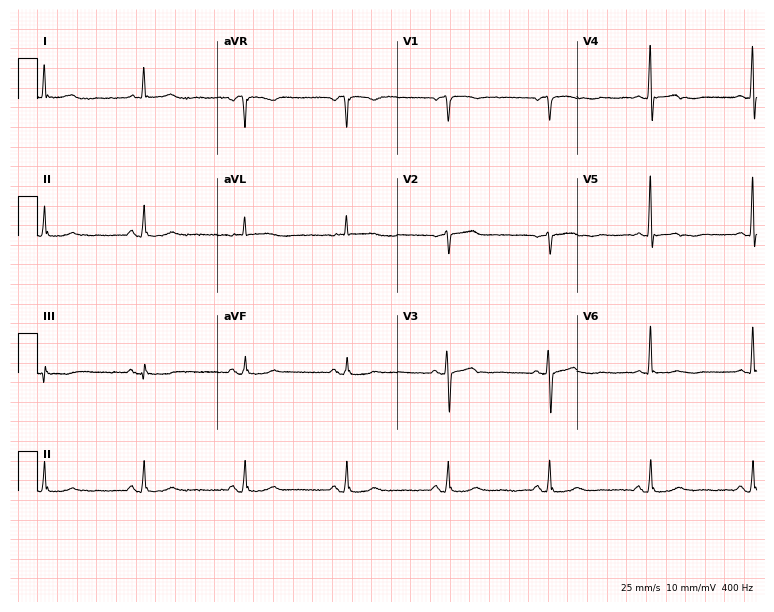
ECG — a woman, 55 years old. Screened for six findings — first-degree AV block, right bundle branch block (RBBB), left bundle branch block (LBBB), sinus bradycardia, atrial fibrillation (AF), sinus tachycardia — none is recorded.